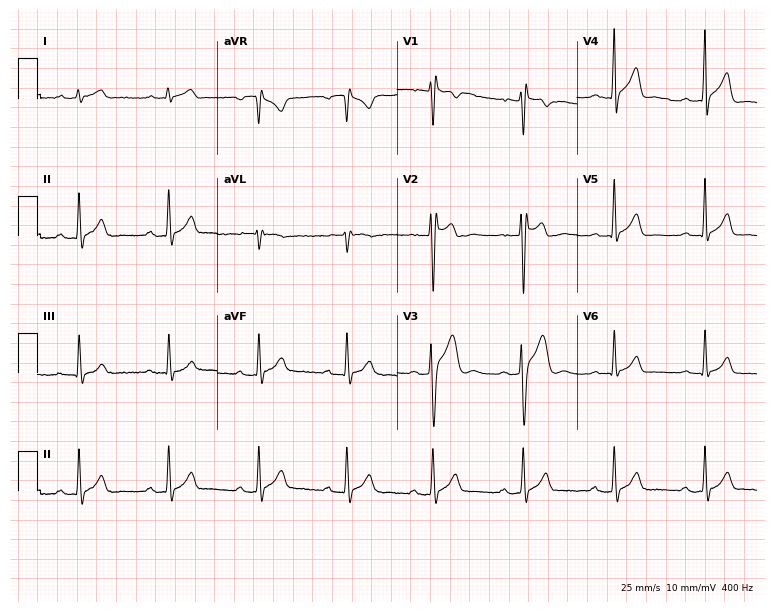
12-lead ECG from a 24-year-old man. Recorded interpretation: within normal limits.